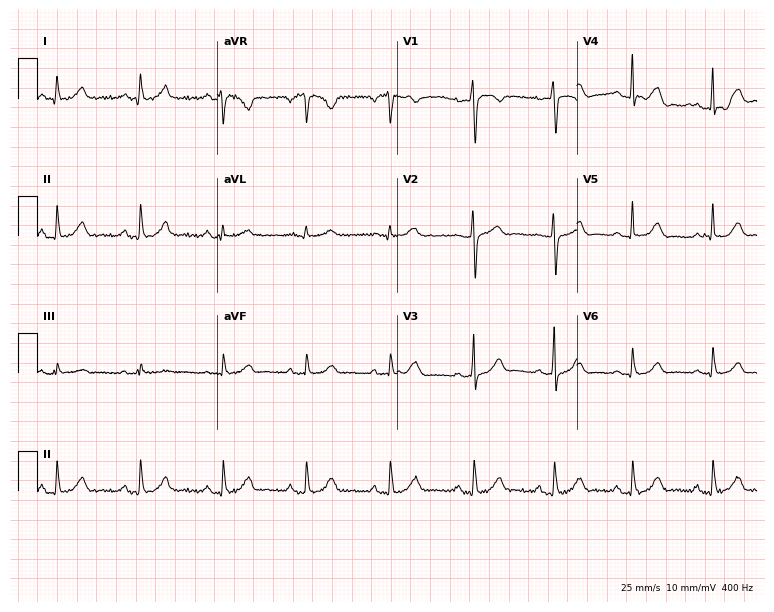
12-lead ECG (7.3-second recording at 400 Hz) from a female patient, 43 years old. Labelled as a normal ECG.